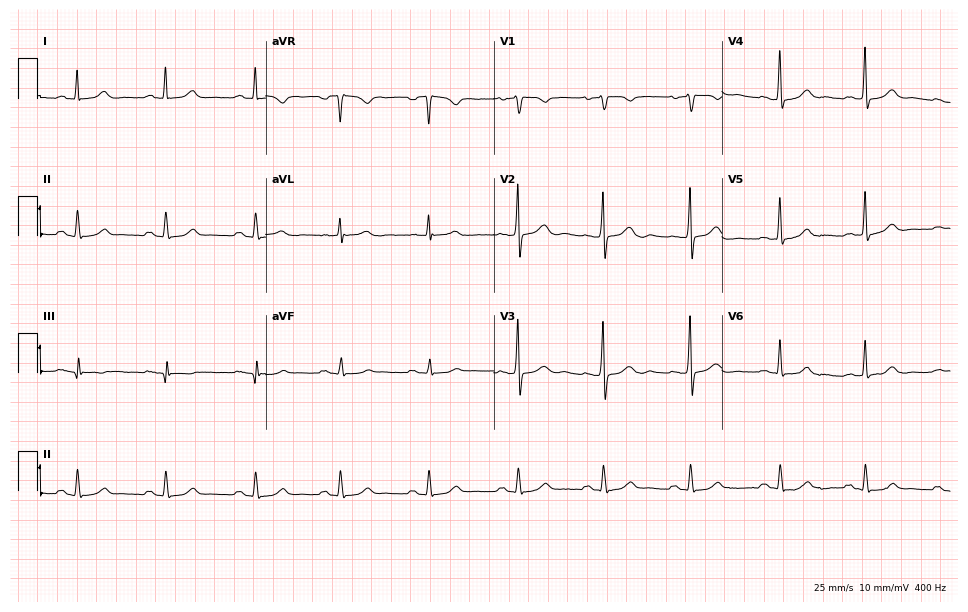
ECG (9.3-second recording at 400 Hz) — a 45-year-old woman. Screened for six findings — first-degree AV block, right bundle branch block (RBBB), left bundle branch block (LBBB), sinus bradycardia, atrial fibrillation (AF), sinus tachycardia — none is recorded.